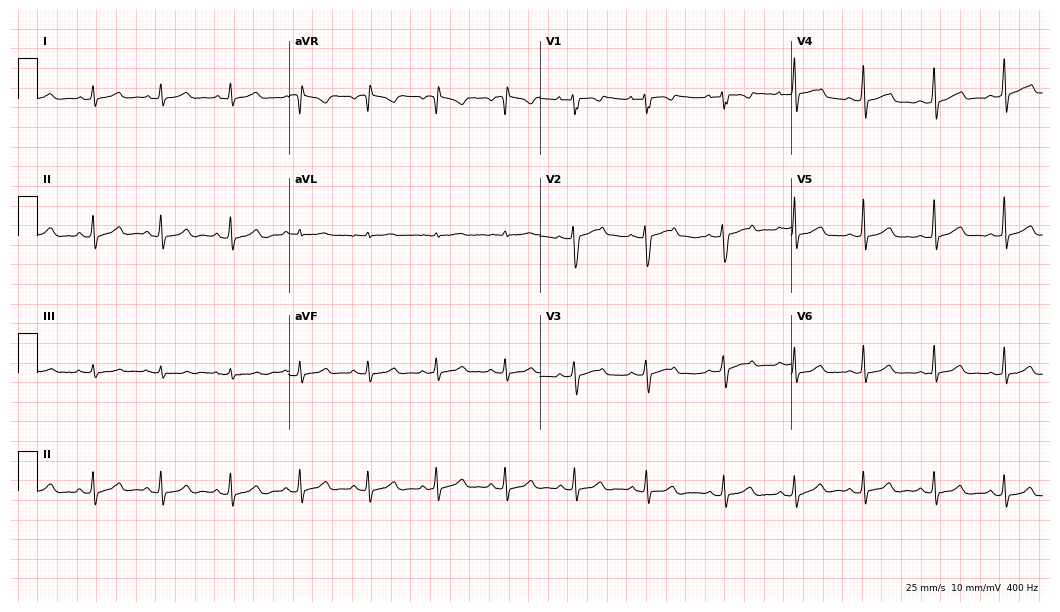
Standard 12-lead ECG recorded from a 34-year-old woman (10.2-second recording at 400 Hz). Read as a normal ECG.